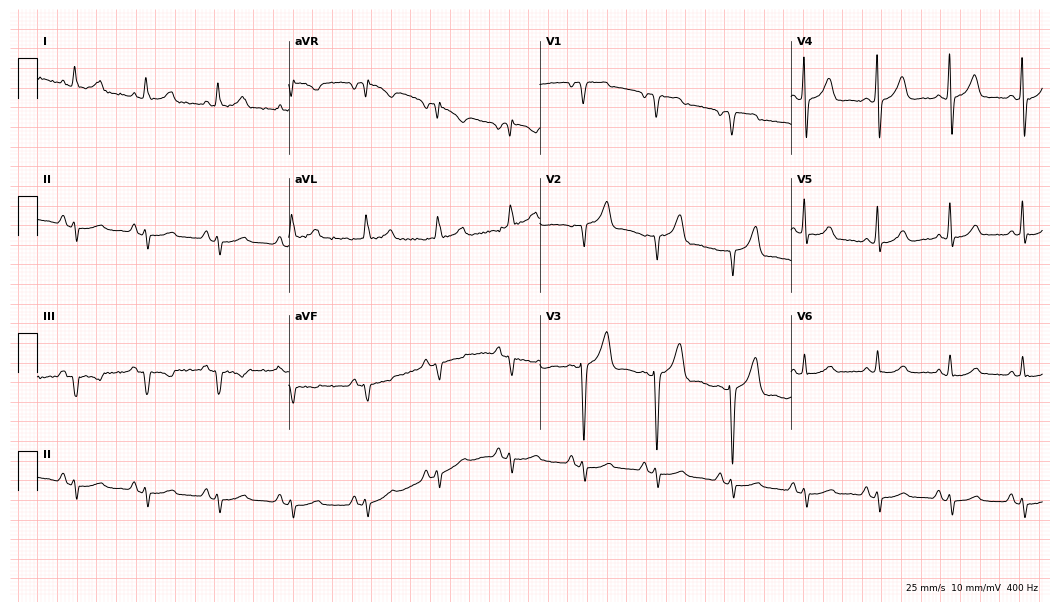
Electrocardiogram, a male patient, 62 years old. Of the six screened findings (first-degree AV block, right bundle branch block, left bundle branch block, sinus bradycardia, atrial fibrillation, sinus tachycardia), none is recorded.